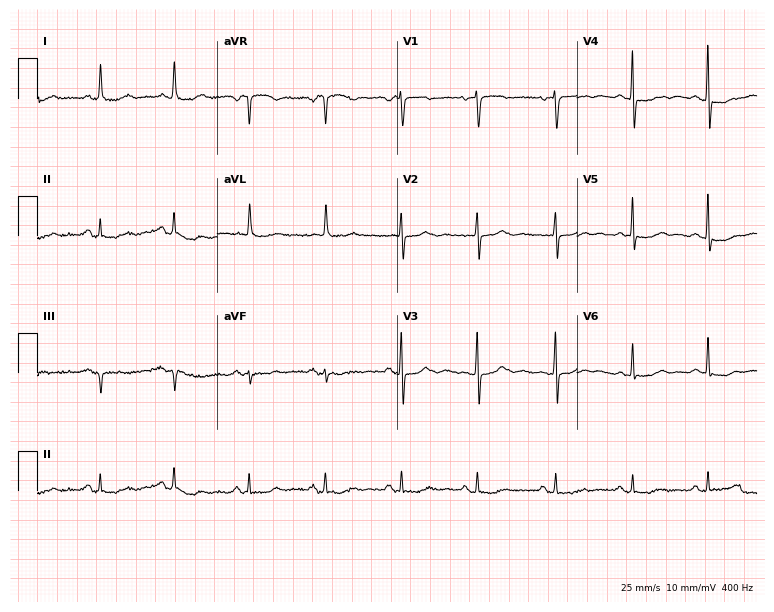
12-lead ECG from an 81-year-old woman. No first-degree AV block, right bundle branch block, left bundle branch block, sinus bradycardia, atrial fibrillation or sinus tachycardia recorded for this tracing. Only these six findings were labelled.